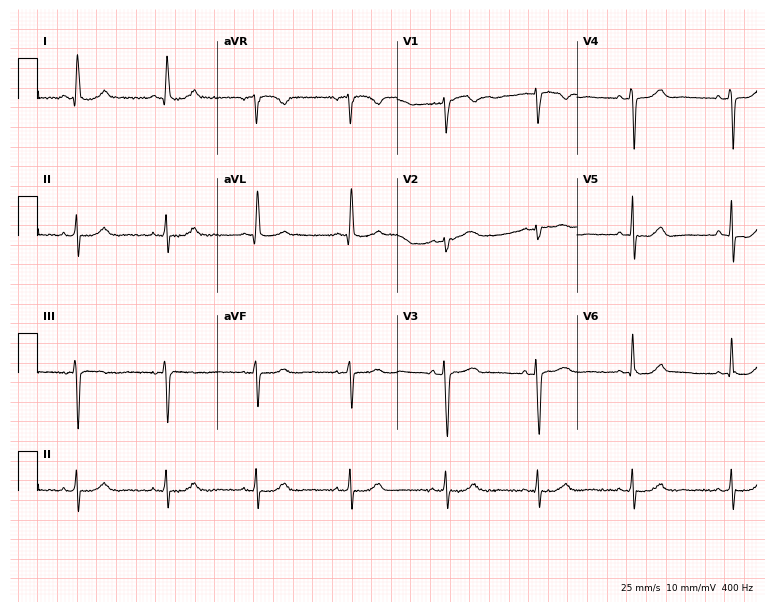
Electrocardiogram (7.3-second recording at 400 Hz), a woman, 62 years old. Of the six screened findings (first-degree AV block, right bundle branch block, left bundle branch block, sinus bradycardia, atrial fibrillation, sinus tachycardia), none is recorded.